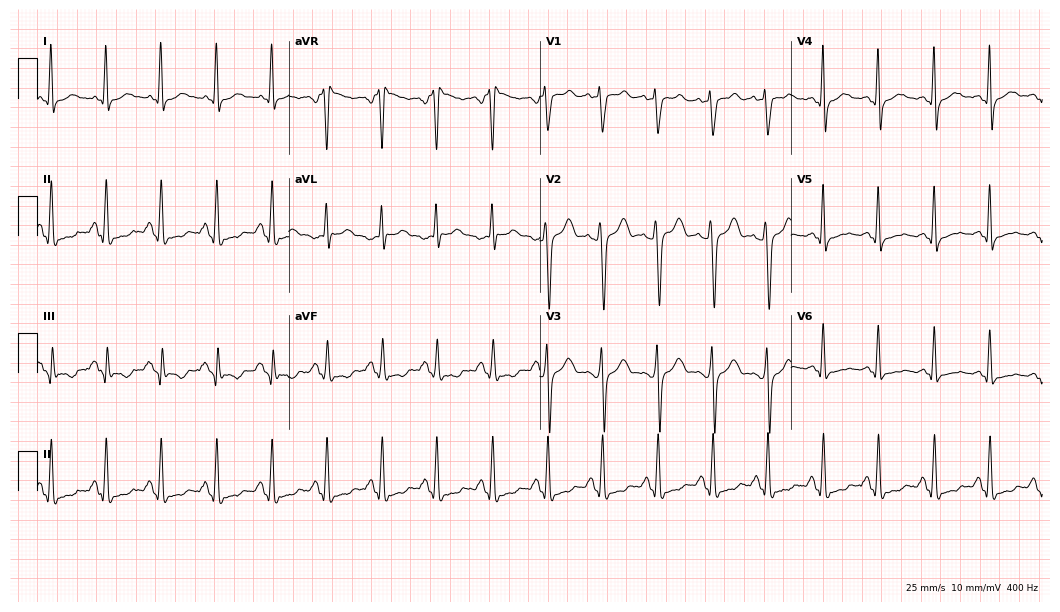
12-lead ECG from an 18-year-old female patient. Shows sinus tachycardia (a sinus rate of 100 beats per minute or more).